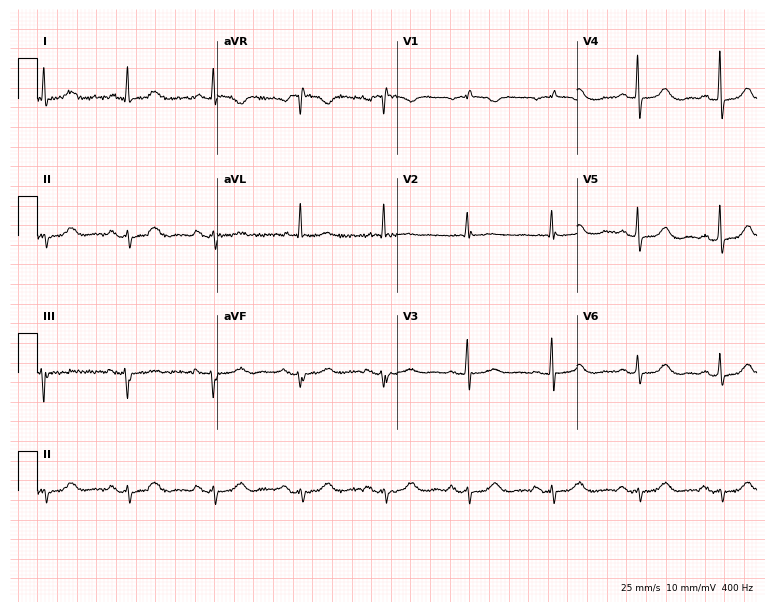
12-lead ECG from a female, 73 years old. No first-degree AV block, right bundle branch block, left bundle branch block, sinus bradycardia, atrial fibrillation or sinus tachycardia recorded for this tracing. Findings outside these six are not listed.